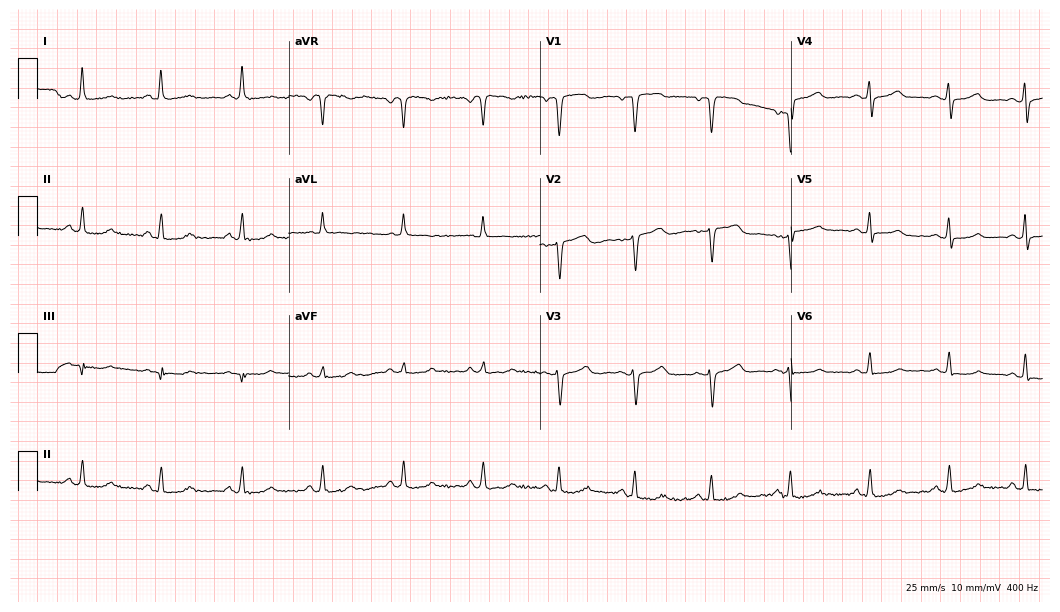
12-lead ECG from a woman, 56 years old (10.2-second recording at 400 Hz). Recorded interpretation: within normal limits.